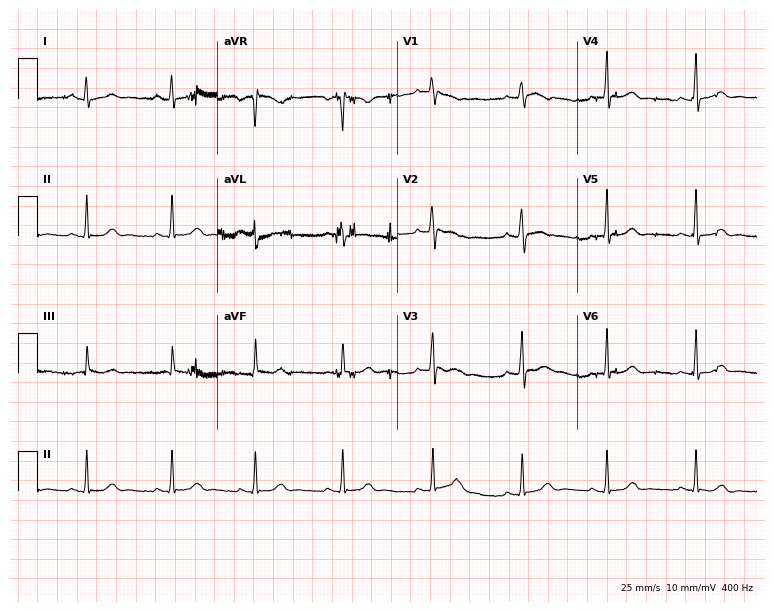
12-lead ECG from a woman, 28 years old. Labelled as a normal ECG.